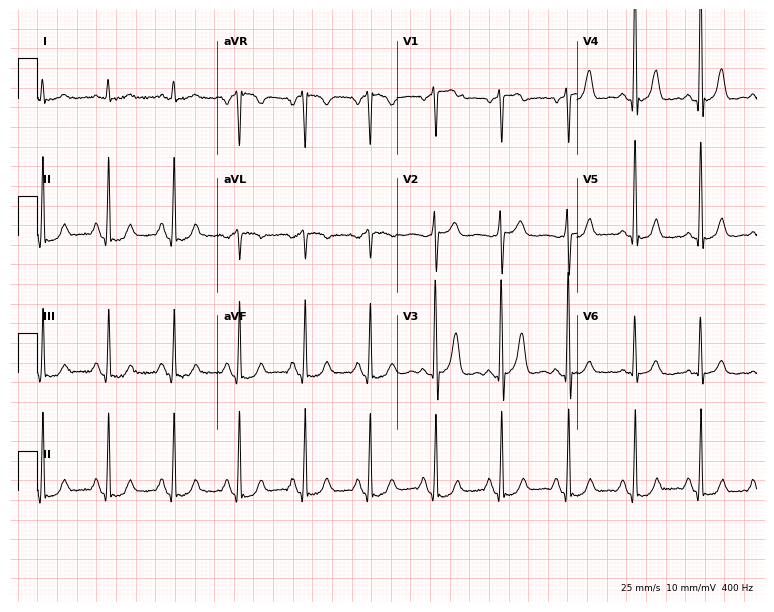
12-lead ECG from a 52-year-old male patient (7.3-second recording at 400 Hz). No first-degree AV block, right bundle branch block, left bundle branch block, sinus bradycardia, atrial fibrillation or sinus tachycardia recorded for this tracing.